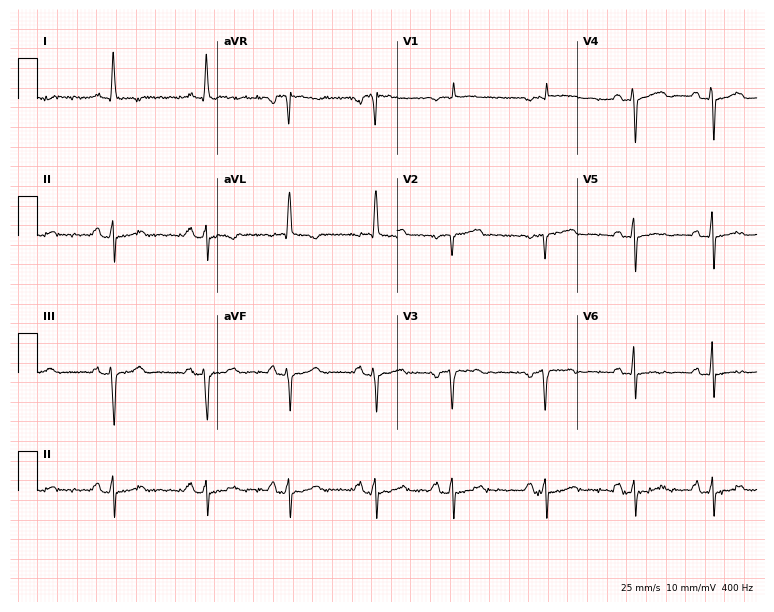
ECG (7.3-second recording at 400 Hz) — a female patient, 82 years old. Screened for six findings — first-degree AV block, right bundle branch block (RBBB), left bundle branch block (LBBB), sinus bradycardia, atrial fibrillation (AF), sinus tachycardia — none is recorded. Other findings, if any, are not listed.